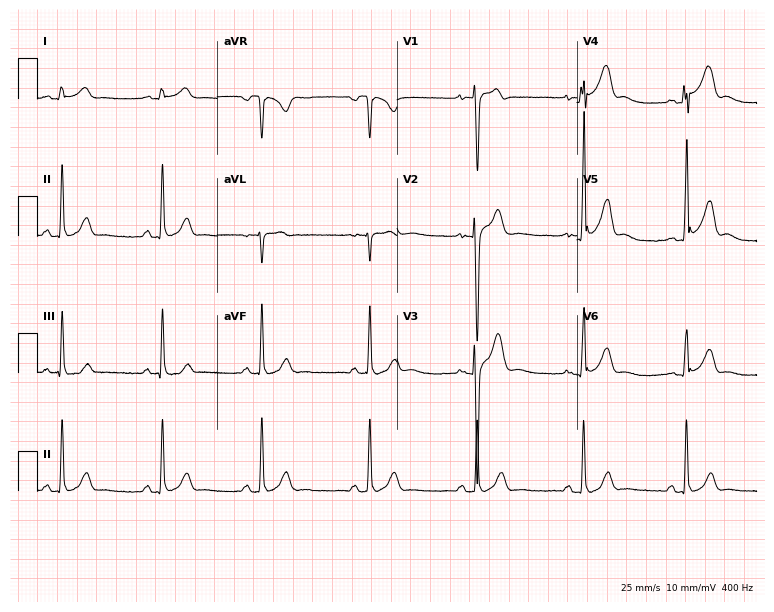
ECG (7.3-second recording at 400 Hz) — a 20-year-old man. Screened for six findings — first-degree AV block, right bundle branch block (RBBB), left bundle branch block (LBBB), sinus bradycardia, atrial fibrillation (AF), sinus tachycardia — none is recorded. Other findings, if any, are not listed.